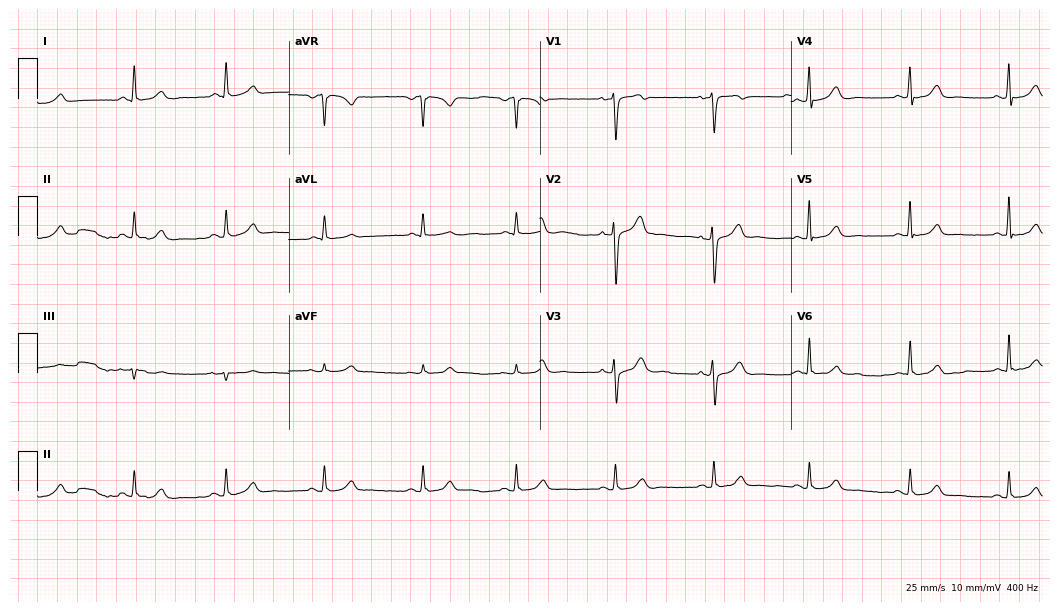
12-lead ECG from a woman, 54 years old. Recorded interpretation: within normal limits.